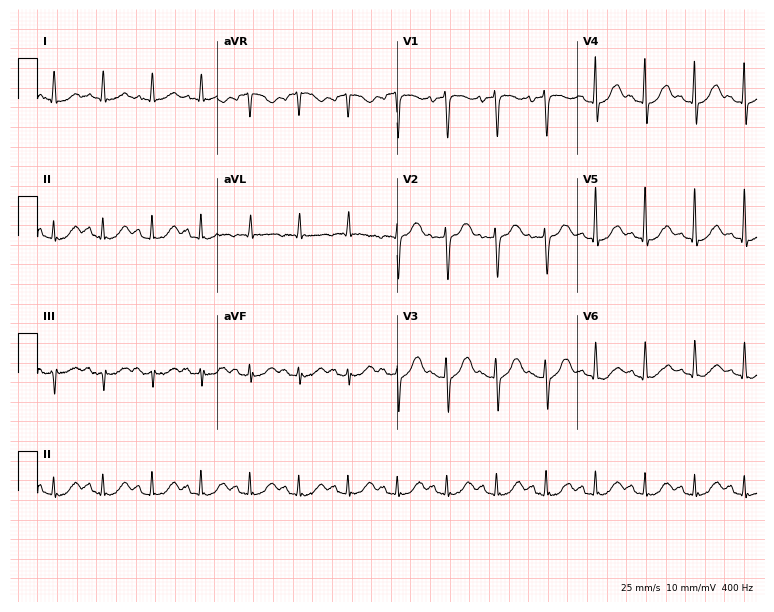
Resting 12-lead electrocardiogram (7.3-second recording at 400 Hz). Patient: a woman, 83 years old. The tracing shows sinus tachycardia (a sinus rate of 100 beats per minute or more).